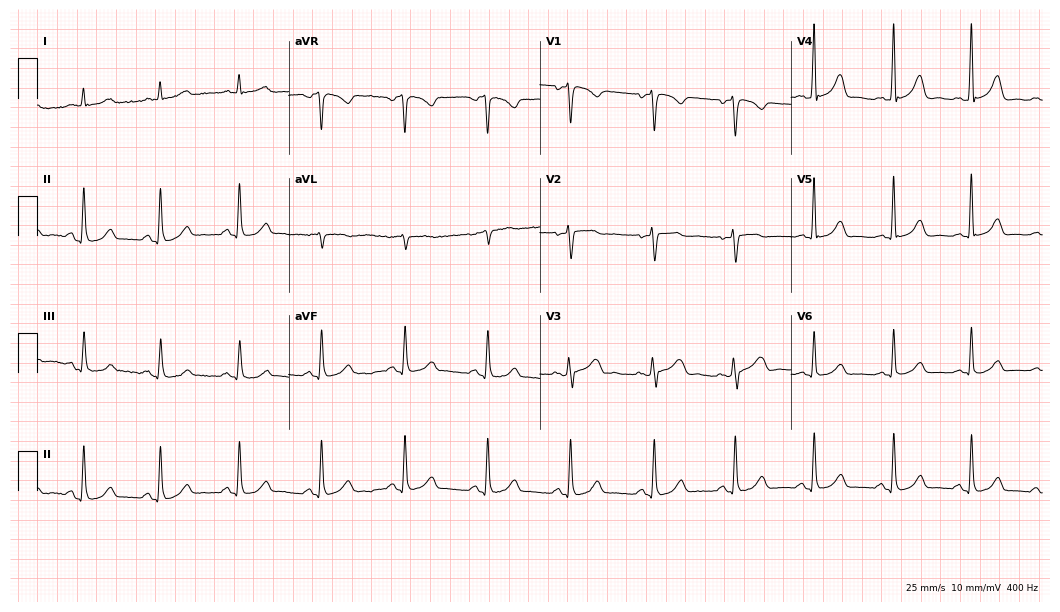
ECG — a woman, 64 years old. Labelled as a normal ECG.